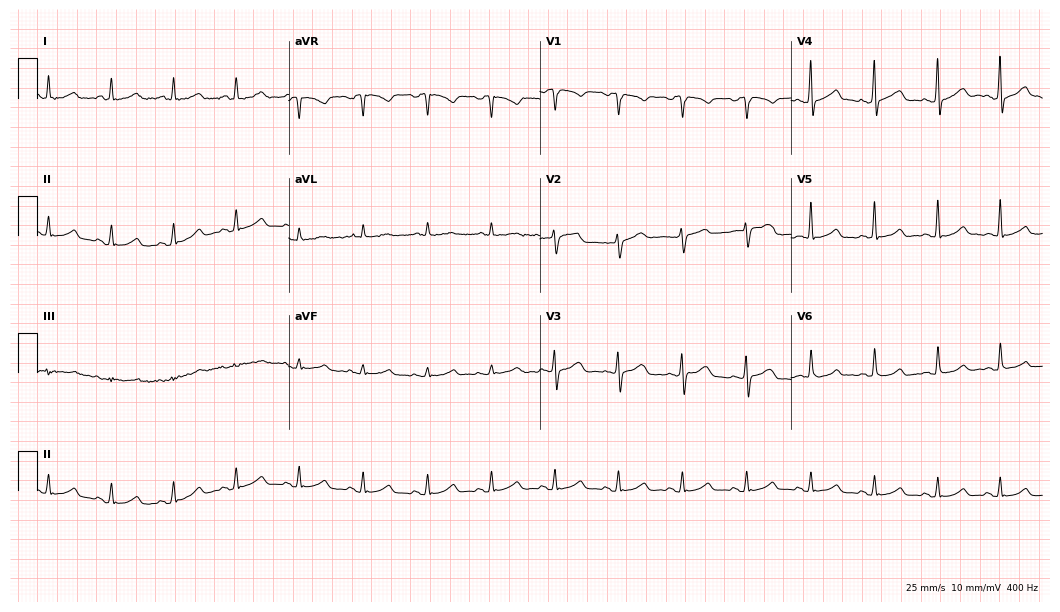
12-lead ECG from a 43-year-old man. Screened for six findings — first-degree AV block, right bundle branch block, left bundle branch block, sinus bradycardia, atrial fibrillation, sinus tachycardia — none is recorded.